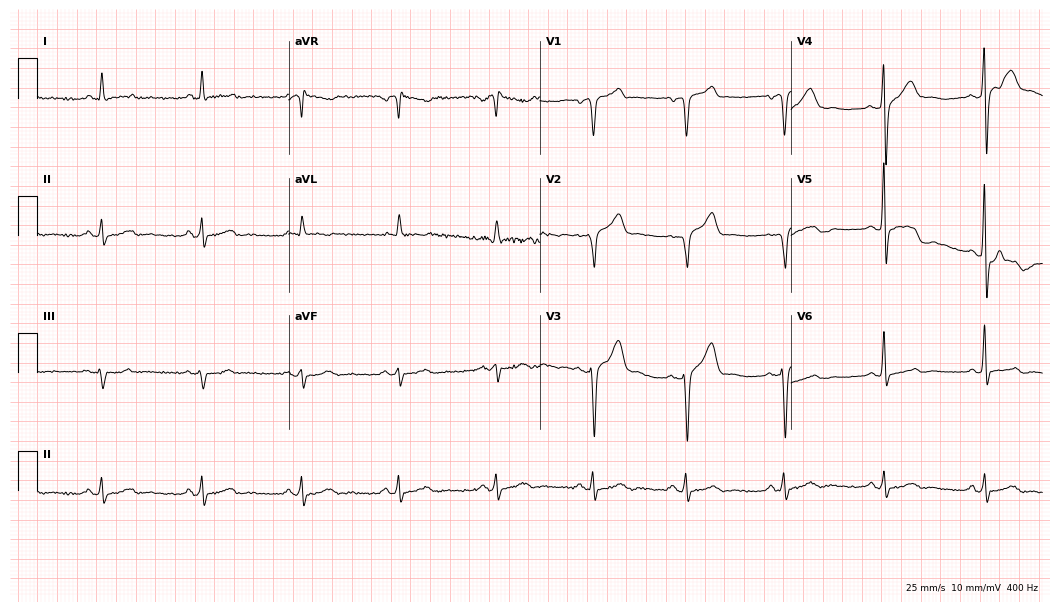
Standard 12-lead ECG recorded from a 55-year-old man (10.2-second recording at 400 Hz). None of these six findings is recorded: first-degree AV block, right bundle branch block (RBBB), left bundle branch block (LBBB), sinus bradycardia, atrial fibrillation (AF), sinus tachycardia.